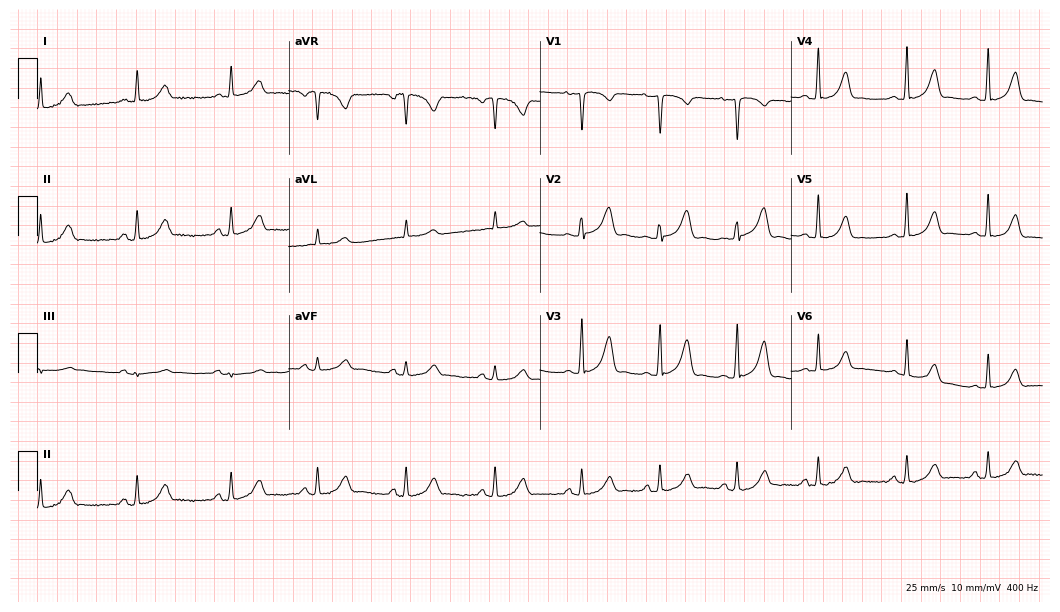
Electrocardiogram, a 23-year-old female. Overall reading on record: normal ECG.